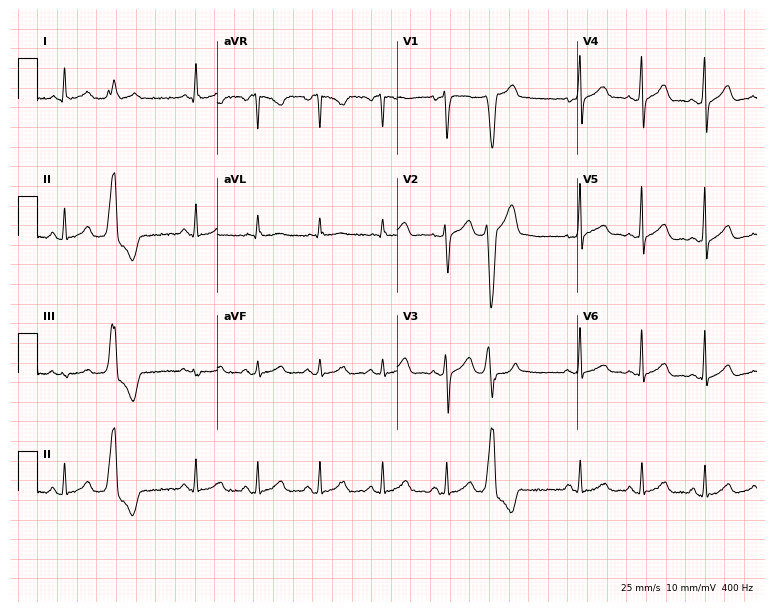
12-lead ECG from a female, 46 years old. No first-degree AV block, right bundle branch block, left bundle branch block, sinus bradycardia, atrial fibrillation or sinus tachycardia recorded for this tracing. Only these six findings were labelled.